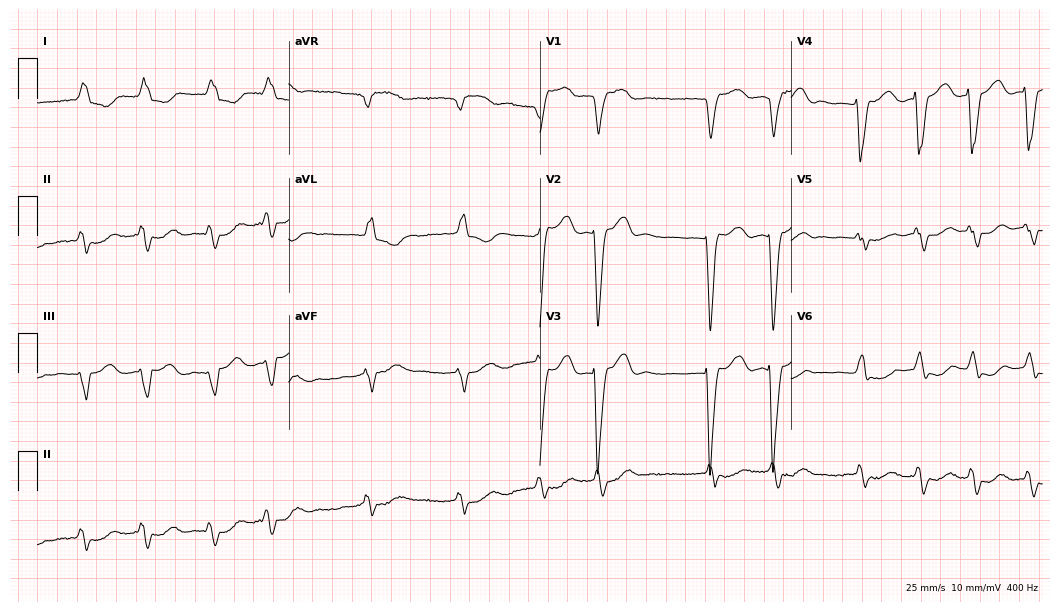
Electrocardiogram, a 75-year-old female patient. Interpretation includes left bundle branch block (LBBB), atrial fibrillation (AF).